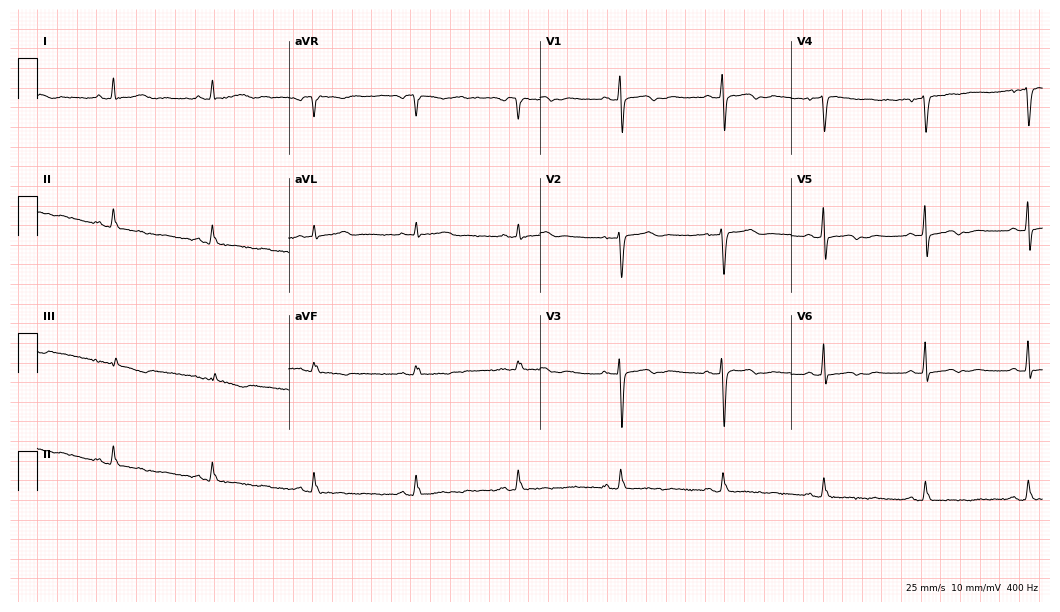
Resting 12-lead electrocardiogram. Patient: a female, 59 years old. None of these six findings is recorded: first-degree AV block, right bundle branch block, left bundle branch block, sinus bradycardia, atrial fibrillation, sinus tachycardia.